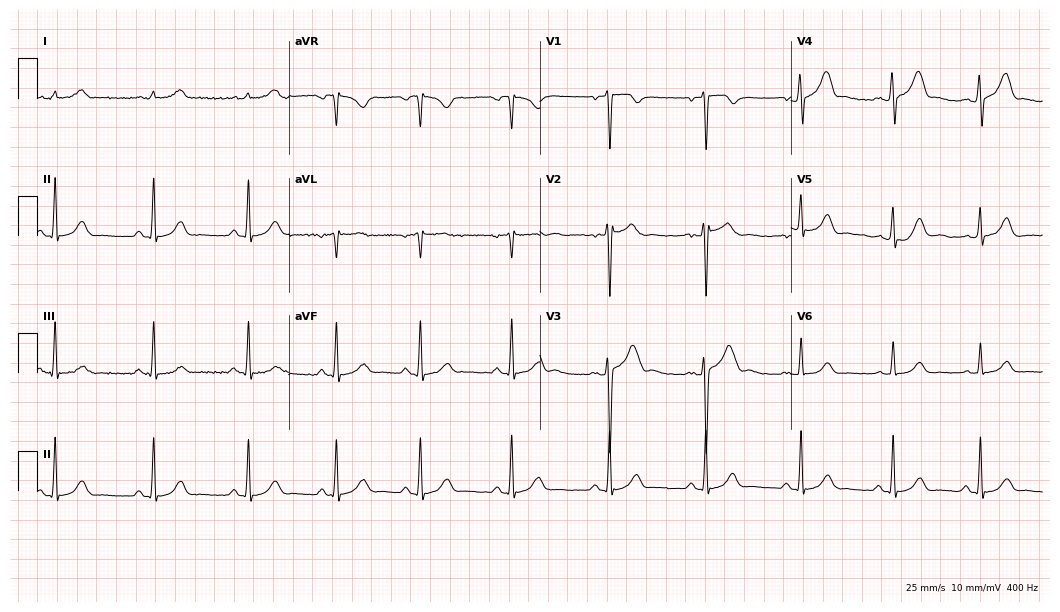
12-lead ECG from a male, 24 years old (10.2-second recording at 400 Hz). No first-degree AV block, right bundle branch block, left bundle branch block, sinus bradycardia, atrial fibrillation or sinus tachycardia recorded for this tracing. Findings outside these six are not listed.